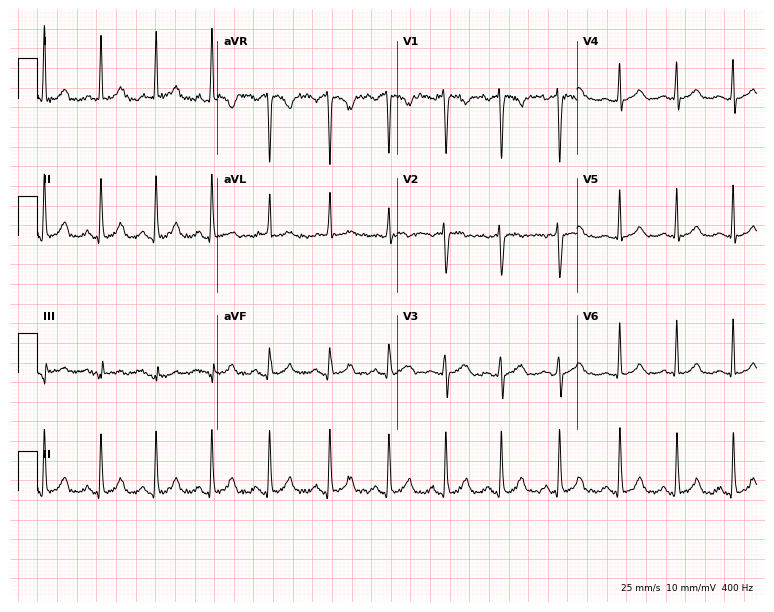
ECG (7.3-second recording at 400 Hz) — a woman, 27 years old. Findings include sinus tachycardia (a sinus rate of 100 beats per minute or more).